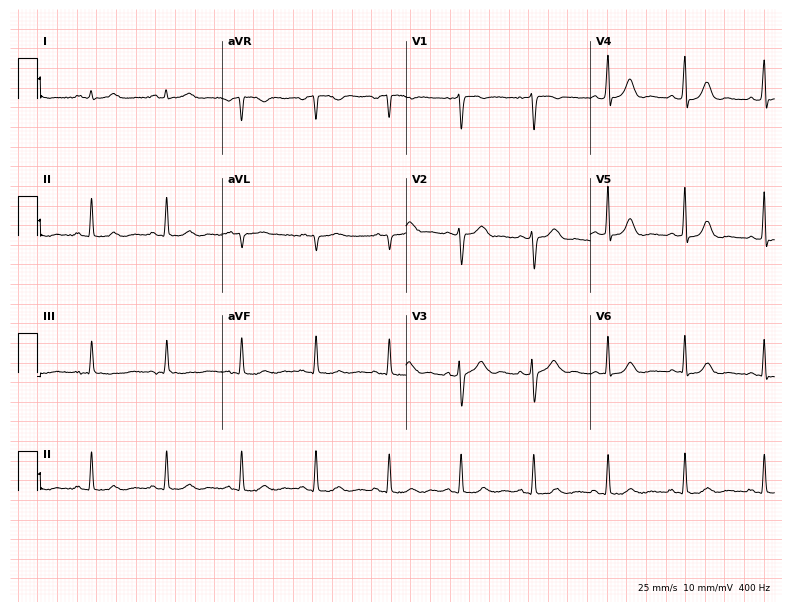
12-lead ECG from a woman, 44 years old (7.5-second recording at 400 Hz). No first-degree AV block, right bundle branch block (RBBB), left bundle branch block (LBBB), sinus bradycardia, atrial fibrillation (AF) or sinus tachycardia recorded for this tracing. Findings outside these six are not listed.